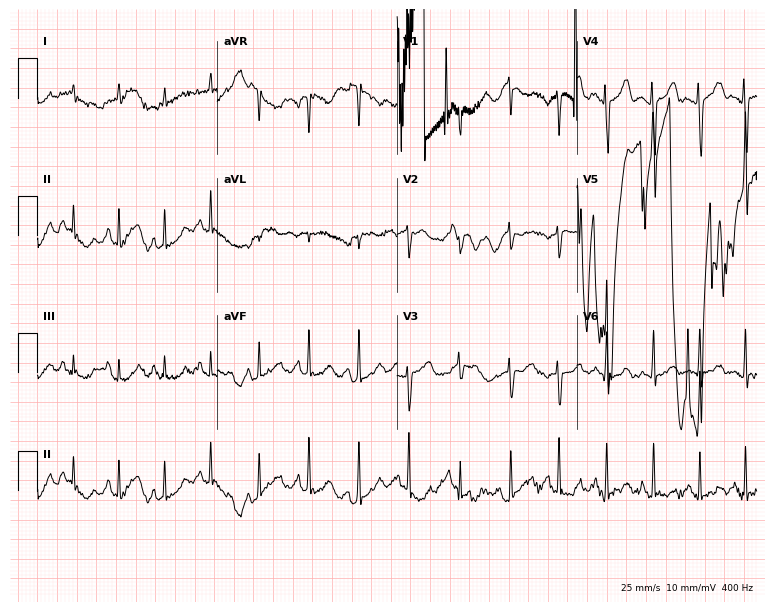
12-lead ECG from a female, 41 years old (7.3-second recording at 400 Hz). No first-degree AV block, right bundle branch block, left bundle branch block, sinus bradycardia, atrial fibrillation or sinus tachycardia recorded for this tracing. Other findings, if any, are not listed.